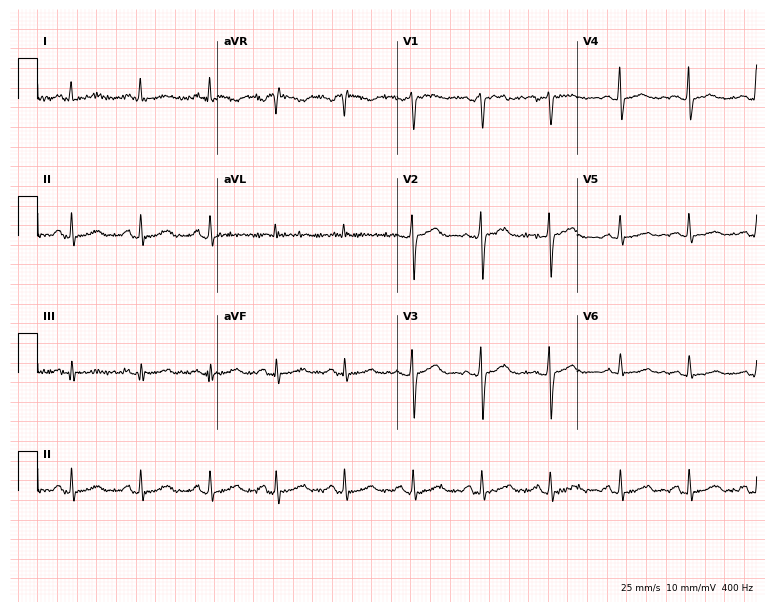
12-lead ECG (7.3-second recording at 400 Hz) from a 54-year-old female patient. Screened for six findings — first-degree AV block, right bundle branch block (RBBB), left bundle branch block (LBBB), sinus bradycardia, atrial fibrillation (AF), sinus tachycardia — none is recorded.